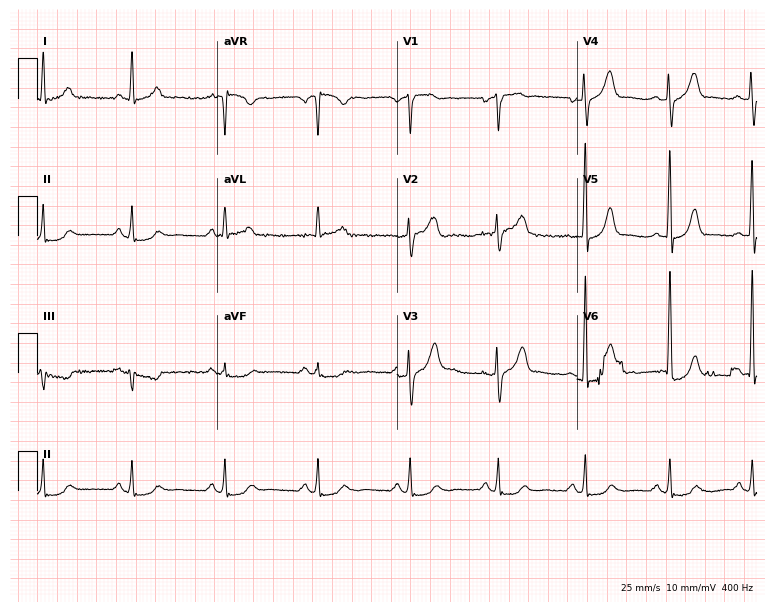
12-lead ECG from a male patient, 64 years old. No first-degree AV block, right bundle branch block (RBBB), left bundle branch block (LBBB), sinus bradycardia, atrial fibrillation (AF) or sinus tachycardia recorded for this tracing. Only these six findings were labelled.